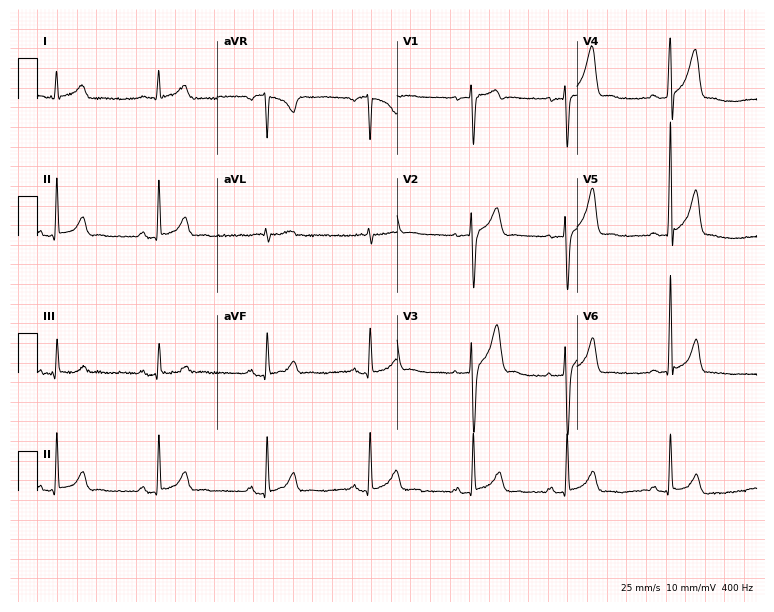
12-lead ECG from a 29-year-old male patient. Labelled as a normal ECG.